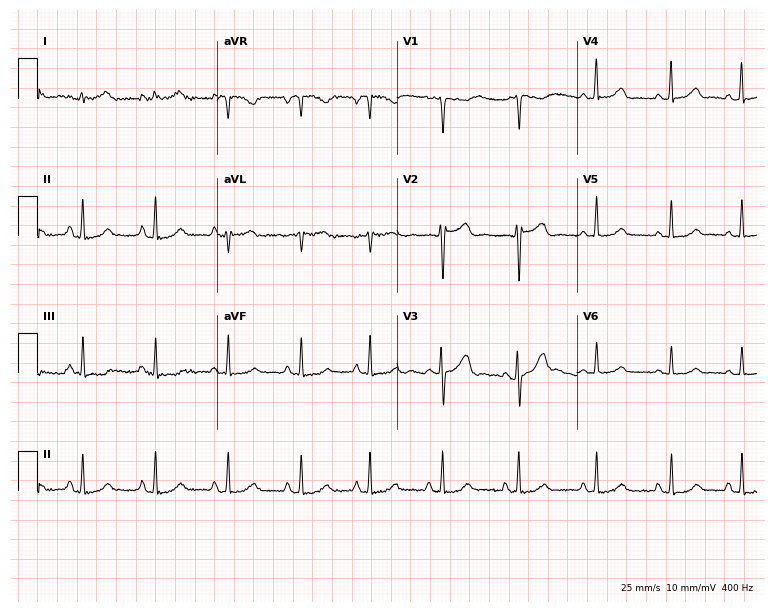
ECG — a 26-year-old woman. Labelled as a normal ECG.